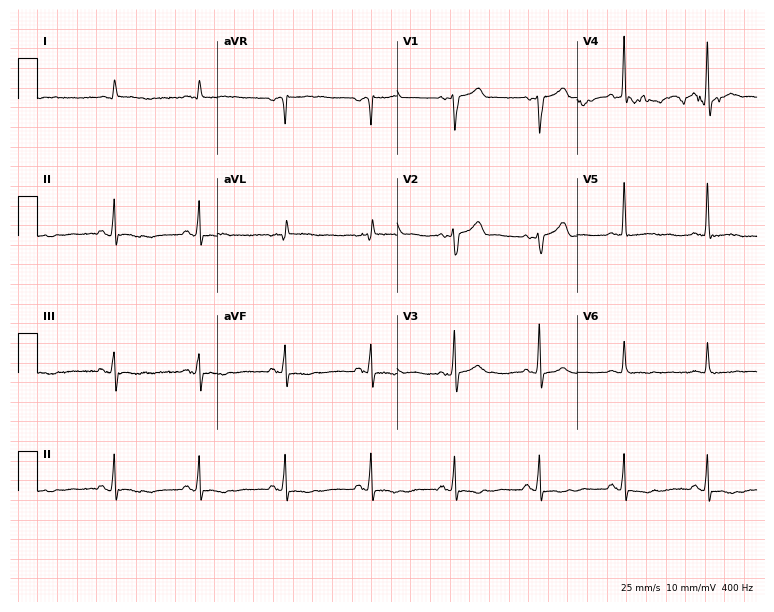
12-lead ECG from a 68-year-old male patient. Screened for six findings — first-degree AV block, right bundle branch block (RBBB), left bundle branch block (LBBB), sinus bradycardia, atrial fibrillation (AF), sinus tachycardia — none is recorded.